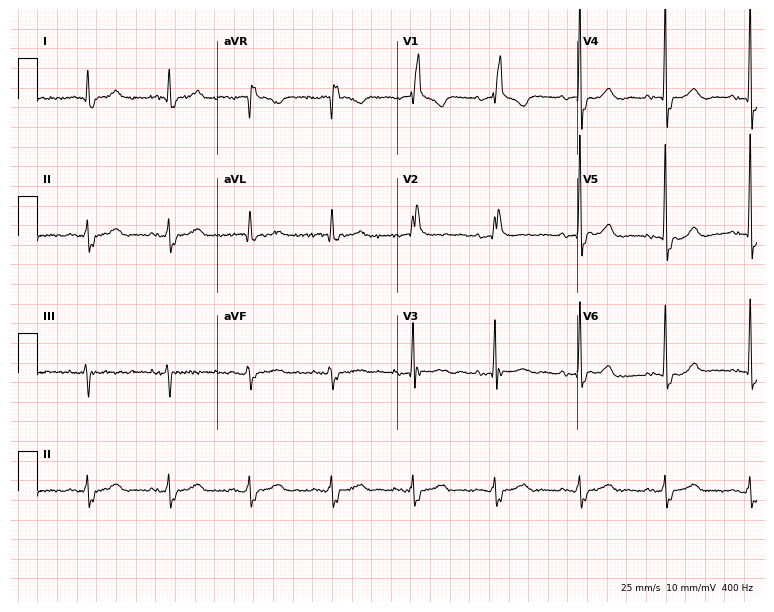
Resting 12-lead electrocardiogram (7.3-second recording at 400 Hz). Patient: an 82-year-old male. The tracing shows right bundle branch block (RBBB).